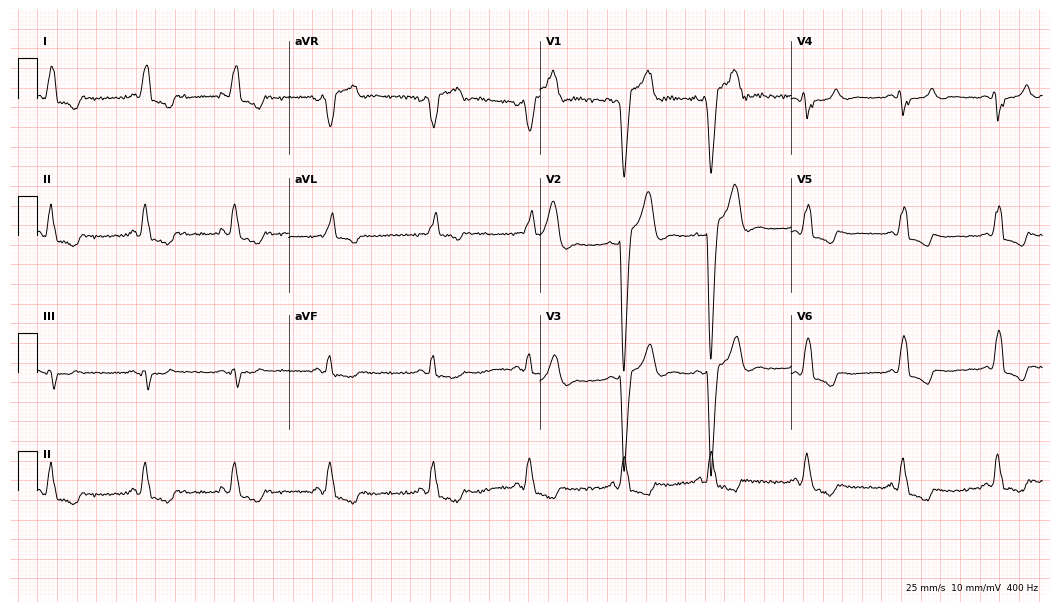
Electrocardiogram, a man, 79 years old. Interpretation includes left bundle branch block.